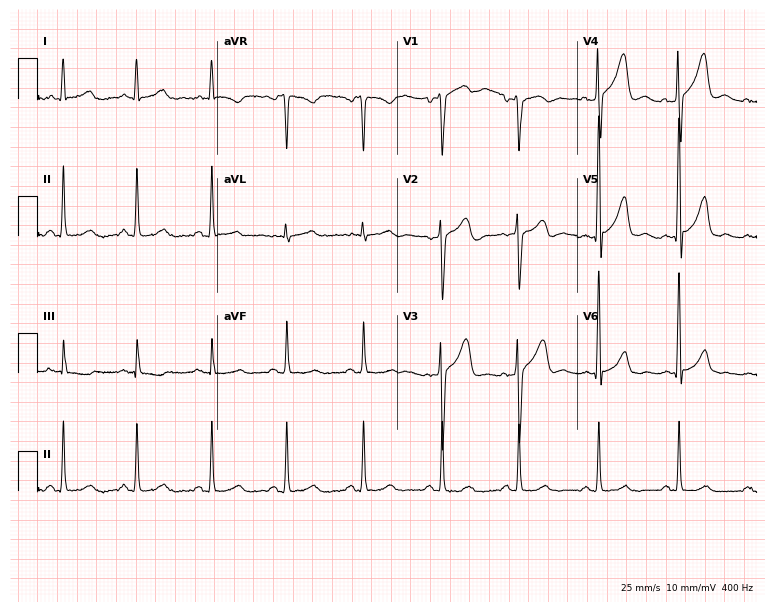
Resting 12-lead electrocardiogram (7.3-second recording at 400 Hz). Patient: a 56-year-old male. None of these six findings is recorded: first-degree AV block, right bundle branch block, left bundle branch block, sinus bradycardia, atrial fibrillation, sinus tachycardia. Other findings, if any, are not listed.